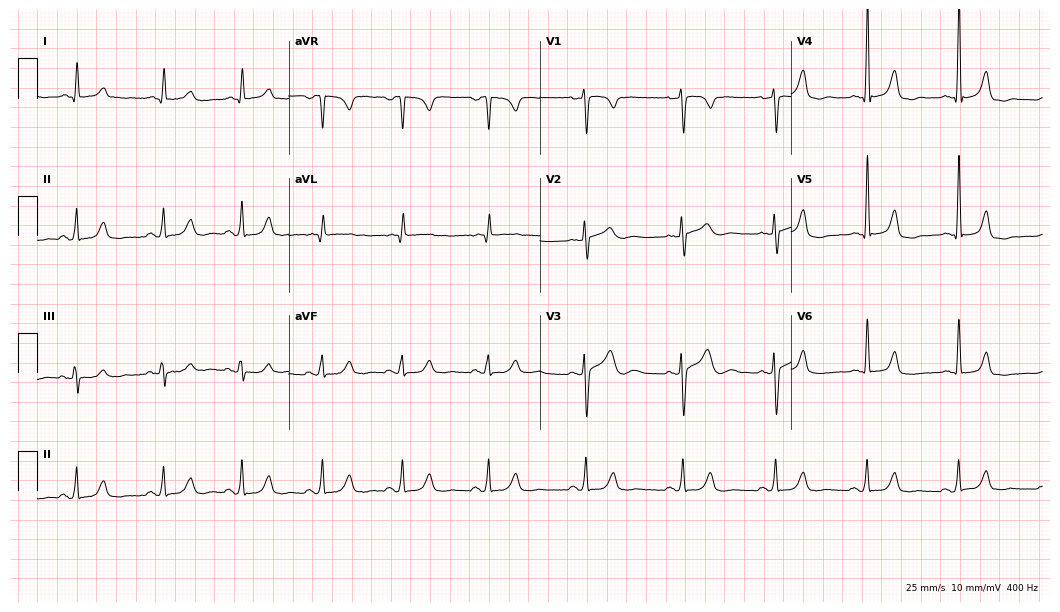
ECG (10.2-second recording at 400 Hz) — a woman, 31 years old. Screened for six findings — first-degree AV block, right bundle branch block (RBBB), left bundle branch block (LBBB), sinus bradycardia, atrial fibrillation (AF), sinus tachycardia — none is recorded.